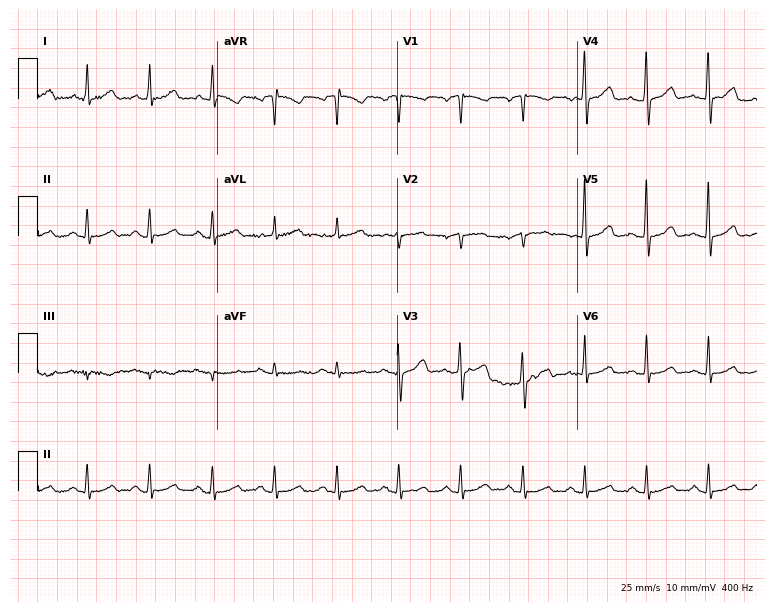
Electrocardiogram (7.3-second recording at 400 Hz), a female, 55 years old. Of the six screened findings (first-degree AV block, right bundle branch block, left bundle branch block, sinus bradycardia, atrial fibrillation, sinus tachycardia), none is recorded.